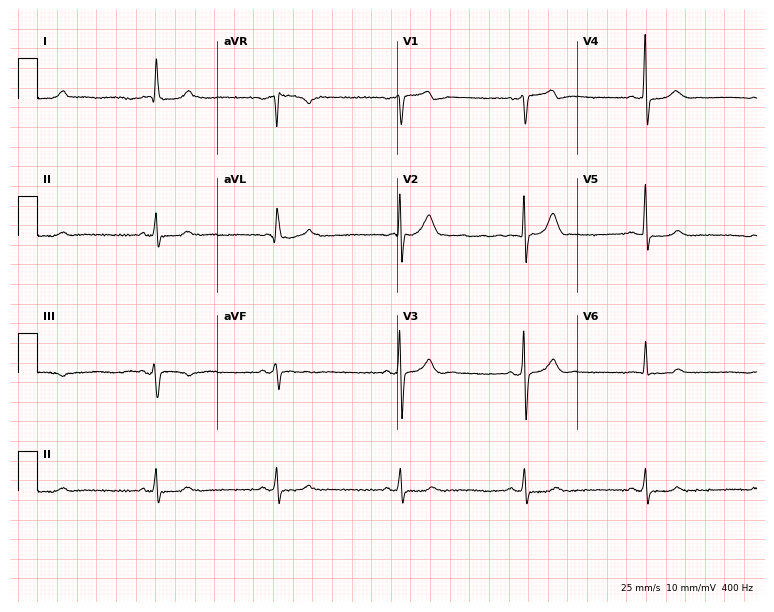
12-lead ECG from a 71-year-old man (7.3-second recording at 400 Hz). Shows sinus bradycardia (a sinus rate of 50 beats per minute or less).